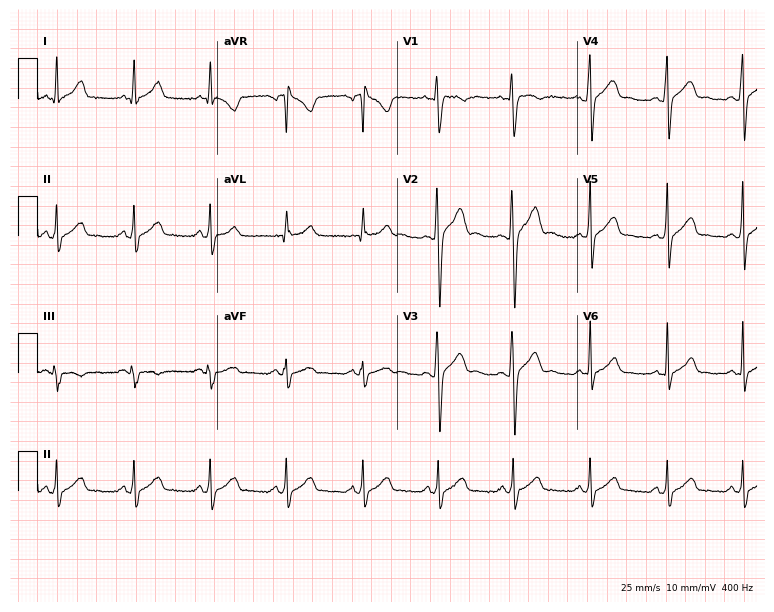
12-lead ECG (7.3-second recording at 400 Hz) from a female, 21 years old. Labelled as a normal ECG.